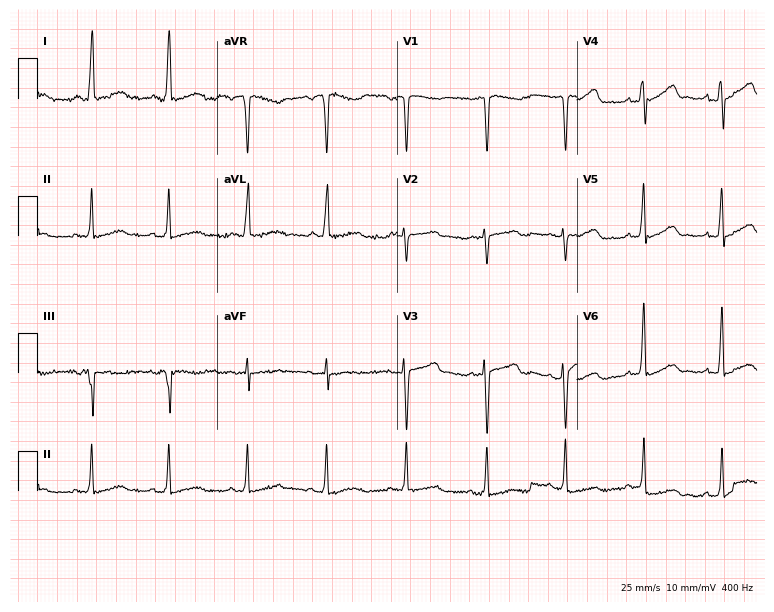
Standard 12-lead ECG recorded from a 66-year-old female patient. Read as a normal ECG.